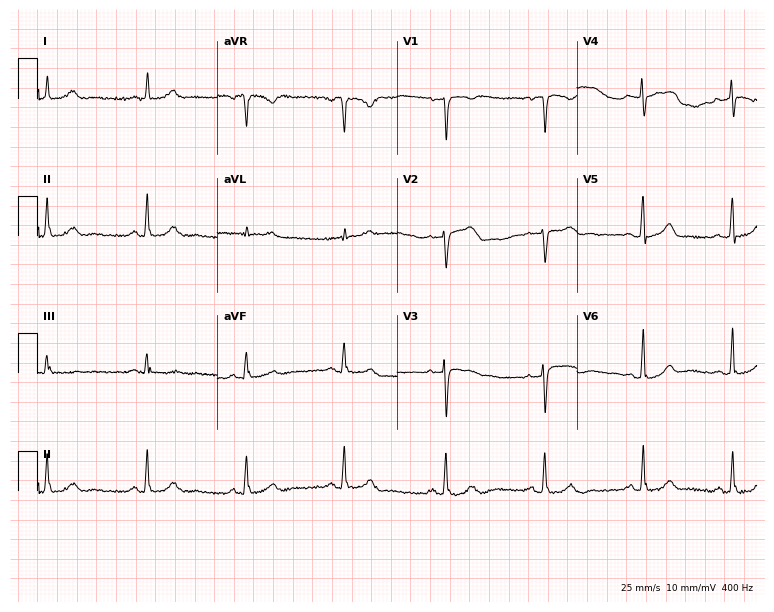
12-lead ECG from a 76-year-old woman. Labelled as a normal ECG.